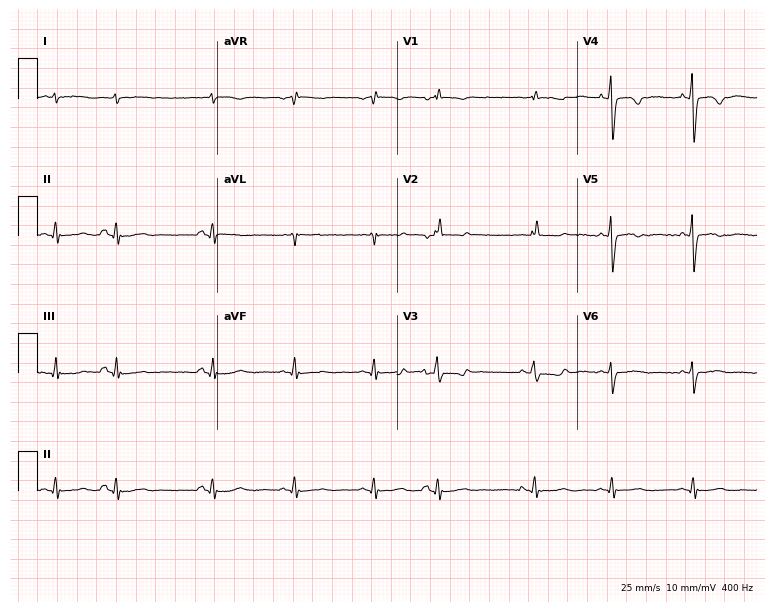
Electrocardiogram (7.3-second recording at 400 Hz), a 74-year-old man. Of the six screened findings (first-degree AV block, right bundle branch block, left bundle branch block, sinus bradycardia, atrial fibrillation, sinus tachycardia), none is recorded.